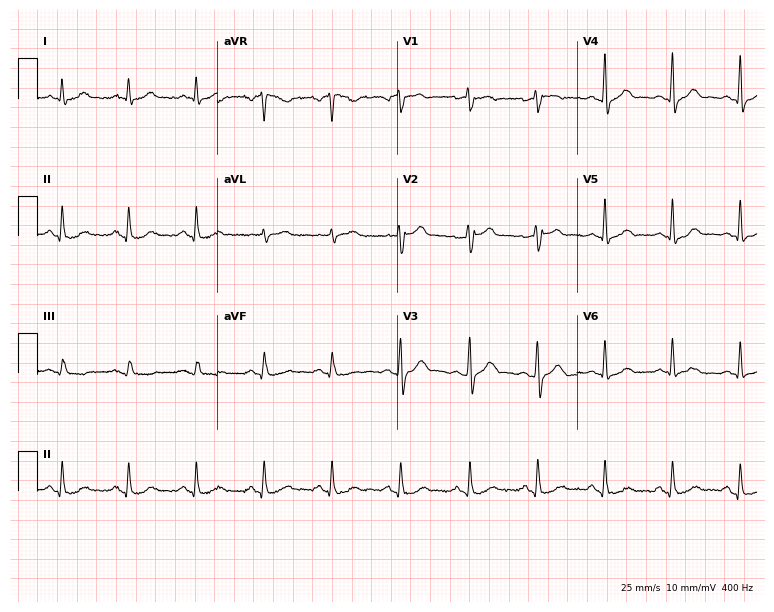
12-lead ECG (7.3-second recording at 400 Hz) from a 50-year-old male patient. Screened for six findings — first-degree AV block, right bundle branch block (RBBB), left bundle branch block (LBBB), sinus bradycardia, atrial fibrillation (AF), sinus tachycardia — none is recorded. Only these six findings were labelled.